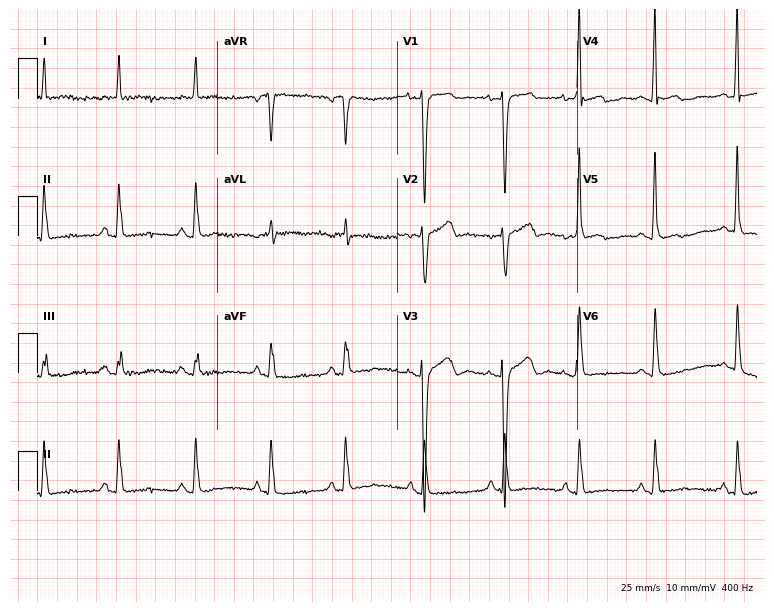
Electrocardiogram (7.3-second recording at 400 Hz), a 58-year-old female patient. Of the six screened findings (first-degree AV block, right bundle branch block (RBBB), left bundle branch block (LBBB), sinus bradycardia, atrial fibrillation (AF), sinus tachycardia), none is recorded. Only these six findings were labelled.